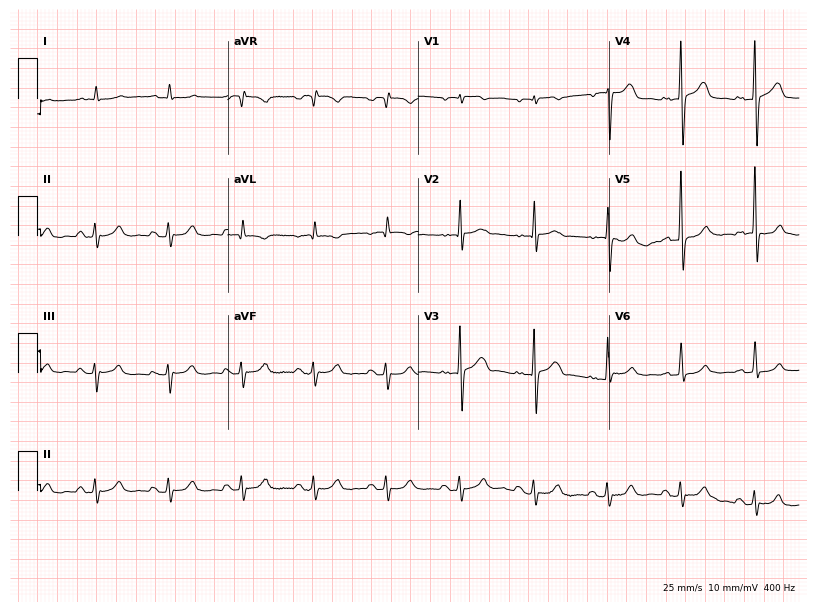
12-lead ECG from a female, 69 years old (7.8-second recording at 400 Hz). Recorded interpretation: within normal limits.